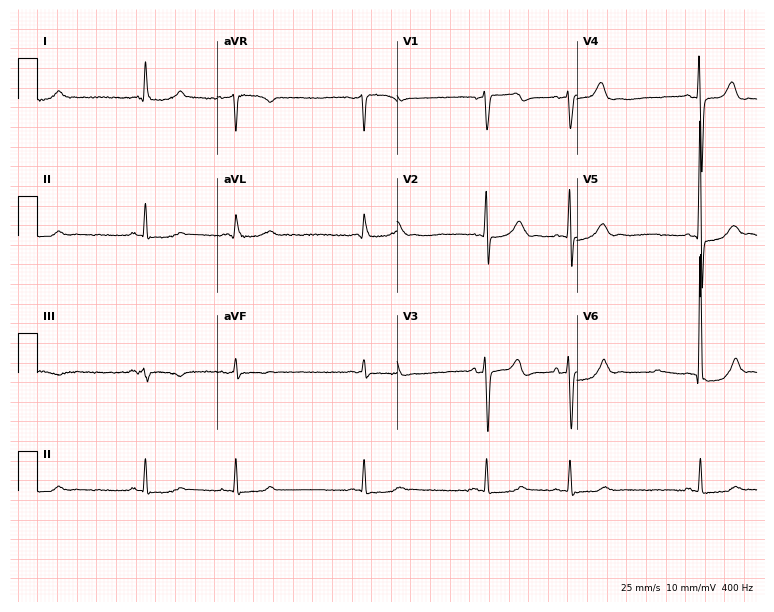
Resting 12-lead electrocardiogram (7.3-second recording at 400 Hz). Patient: an 84-year-old male. Read as a normal ECG.